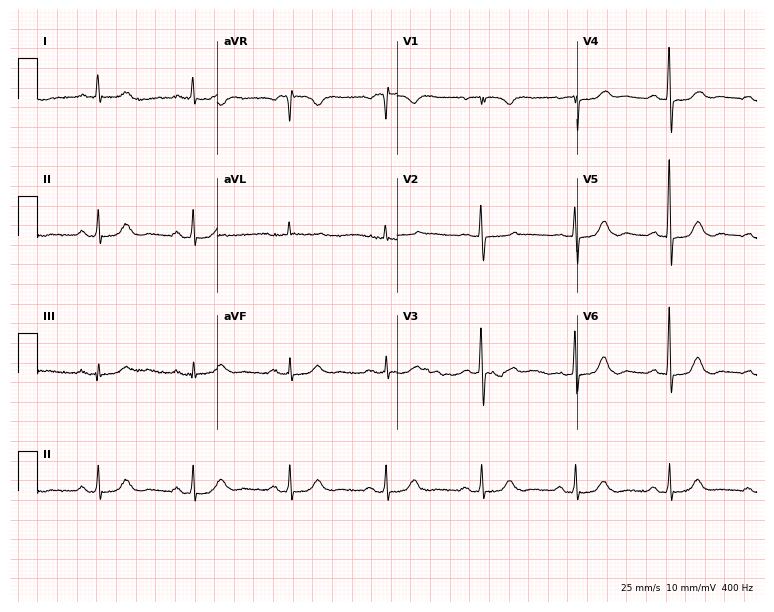
Resting 12-lead electrocardiogram. Patient: a woman, 78 years old. None of these six findings is recorded: first-degree AV block, right bundle branch block (RBBB), left bundle branch block (LBBB), sinus bradycardia, atrial fibrillation (AF), sinus tachycardia. Only these six findings were labelled.